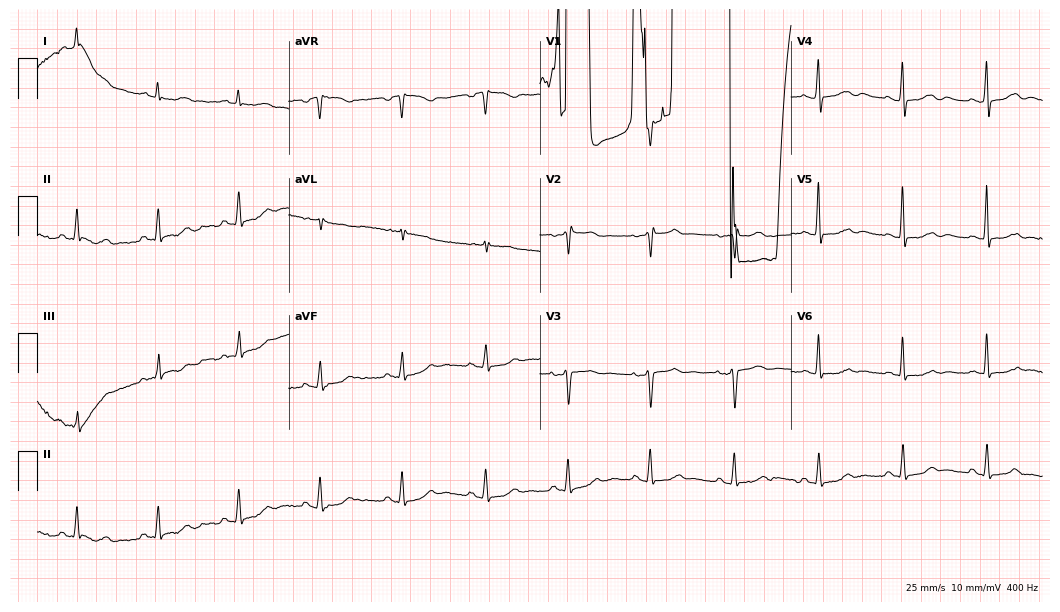
12-lead ECG from a 53-year-old female patient. No first-degree AV block, right bundle branch block (RBBB), left bundle branch block (LBBB), sinus bradycardia, atrial fibrillation (AF) or sinus tachycardia recorded for this tracing.